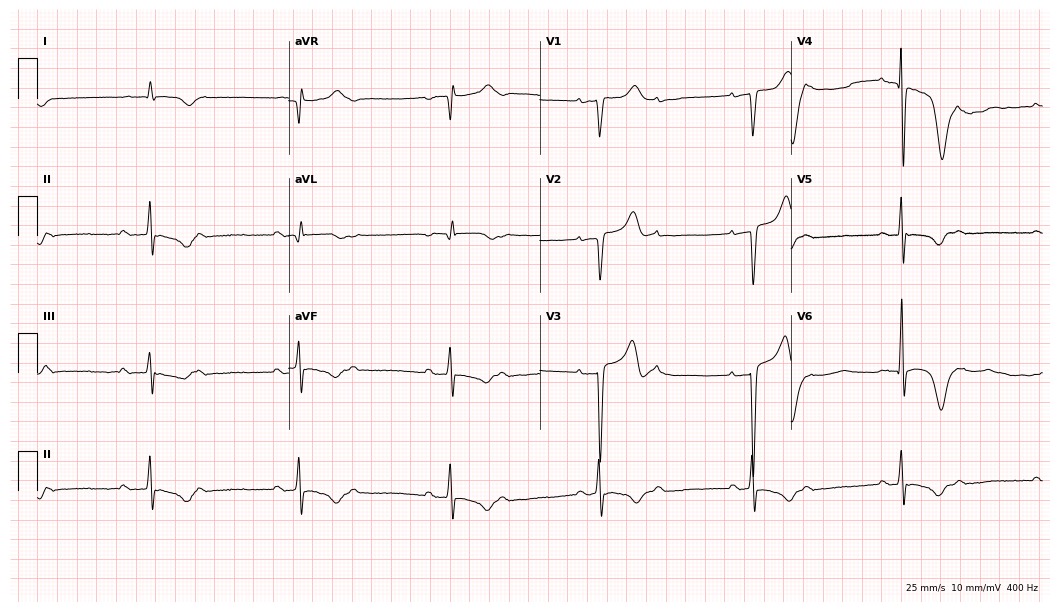
Standard 12-lead ECG recorded from a 74-year-old man. None of these six findings is recorded: first-degree AV block, right bundle branch block, left bundle branch block, sinus bradycardia, atrial fibrillation, sinus tachycardia. Other findings, if any, are not listed.